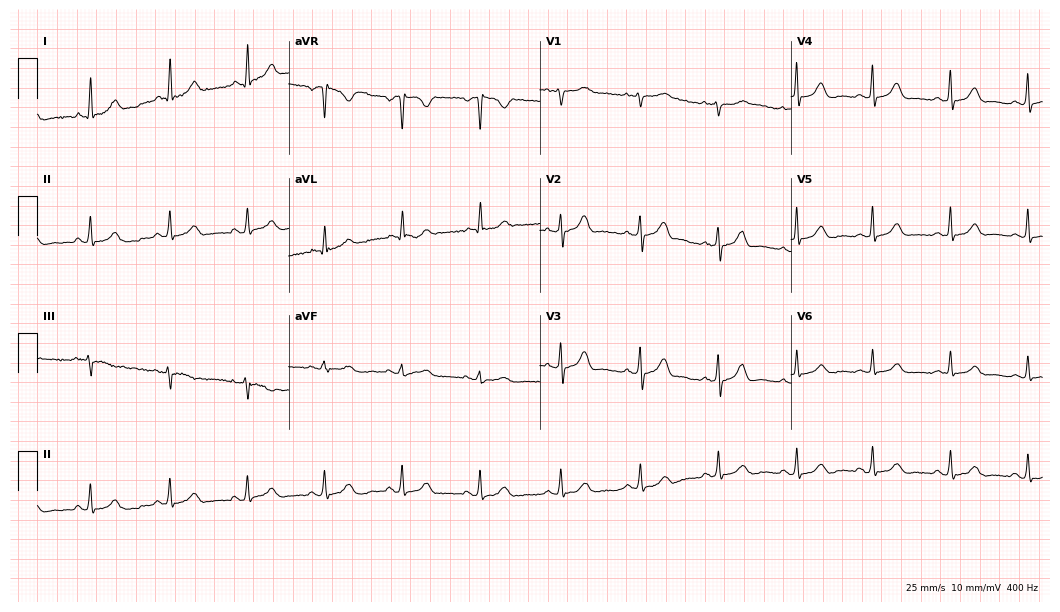
Resting 12-lead electrocardiogram (10.2-second recording at 400 Hz). Patient: a female, 58 years old. Read as a normal ECG.